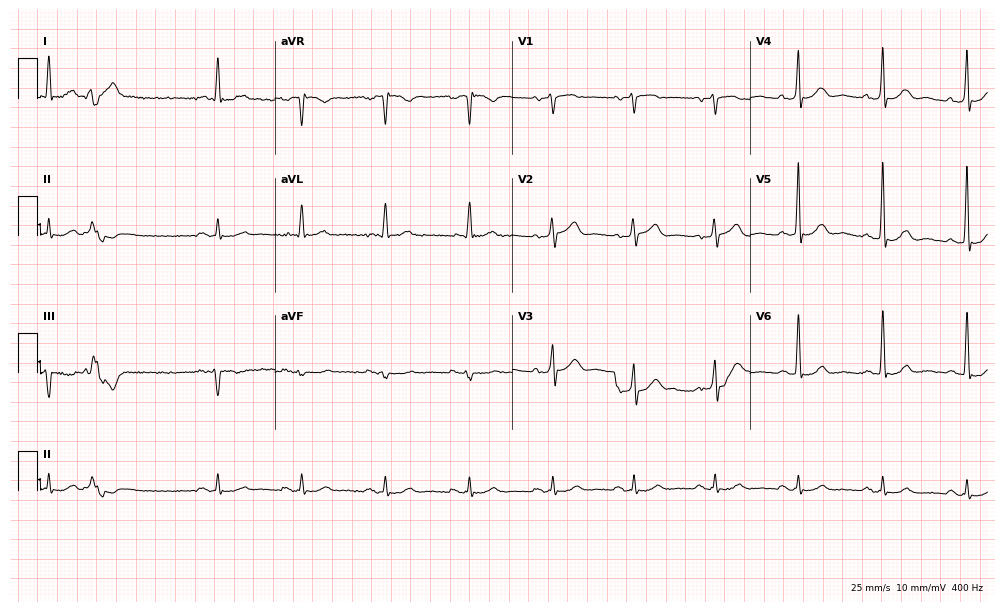
Standard 12-lead ECG recorded from a male, 79 years old. None of these six findings is recorded: first-degree AV block, right bundle branch block (RBBB), left bundle branch block (LBBB), sinus bradycardia, atrial fibrillation (AF), sinus tachycardia.